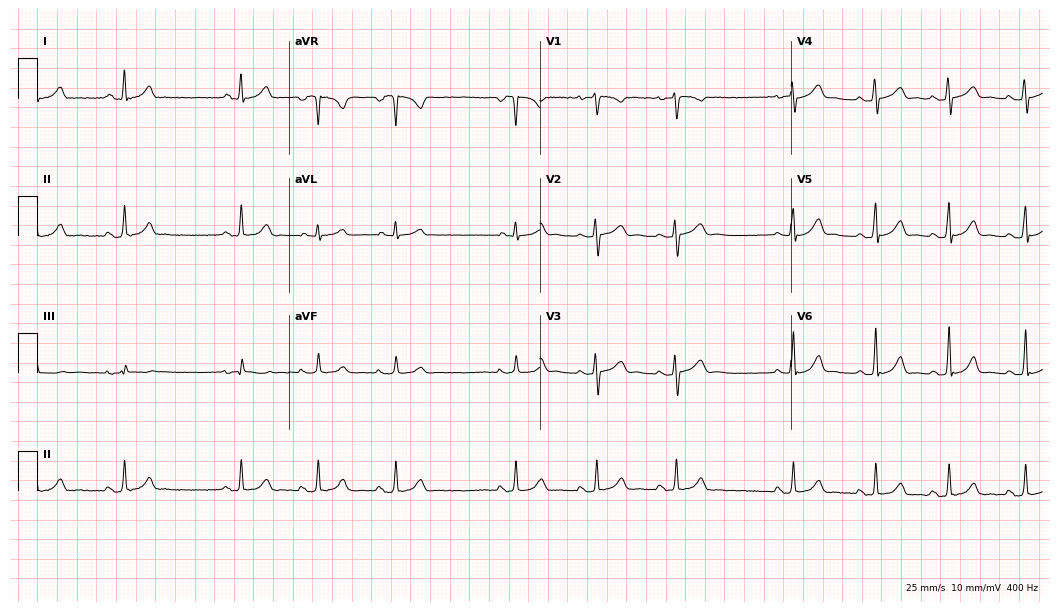
ECG (10.2-second recording at 400 Hz) — a female patient, 29 years old. Screened for six findings — first-degree AV block, right bundle branch block, left bundle branch block, sinus bradycardia, atrial fibrillation, sinus tachycardia — none is recorded. Only these six findings were labelled.